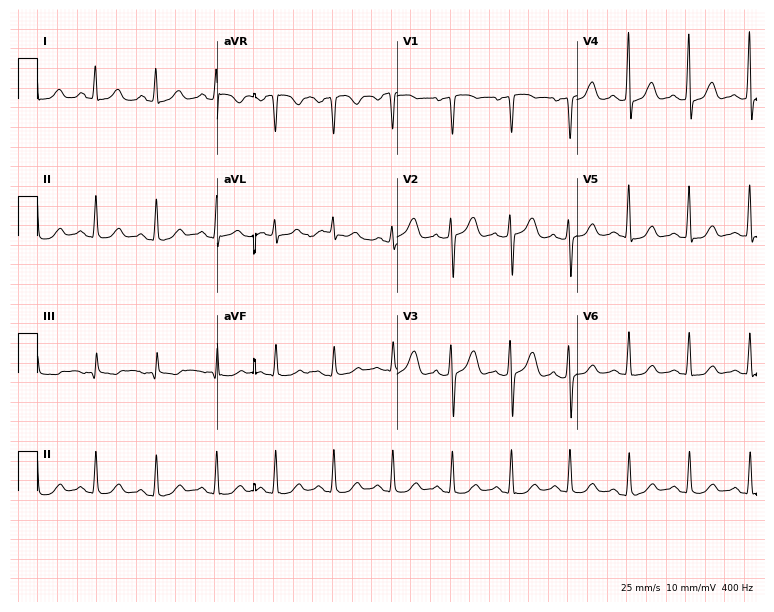
12-lead ECG from a 54-year-old female. No first-degree AV block, right bundle branch block, left bundle branch block, sinus bradycardia, atrial fibrillation or sinus tachycardia recorded for this tracing.